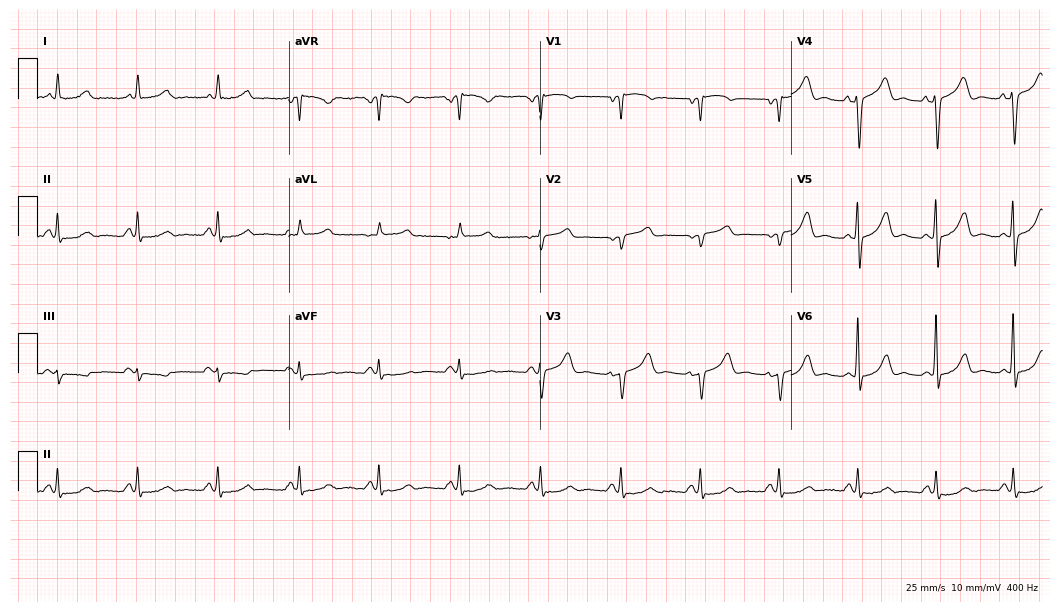
ECG — a 60-year-old woman. Labelled as a normal ECG.